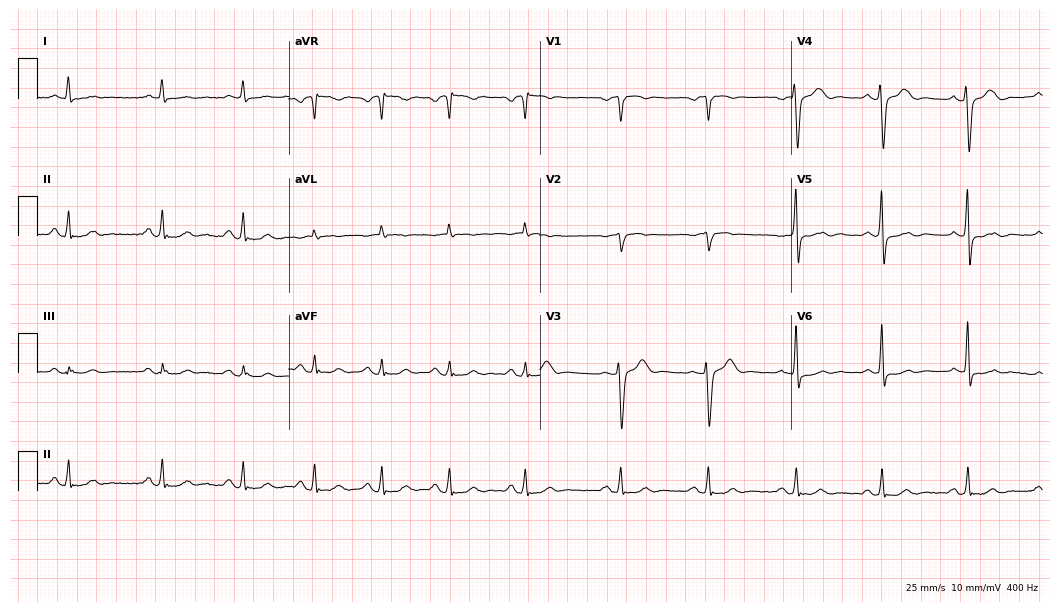
Electrocardiogram, a male patient, 66 years old. Of the six screened findings (first-degree AV block, right bundle branch block, left bundle branch block, sinus bradycardia, atrial fibrillation, sinus tachycardia), none is recorded. Other findings, if any, are not listed.